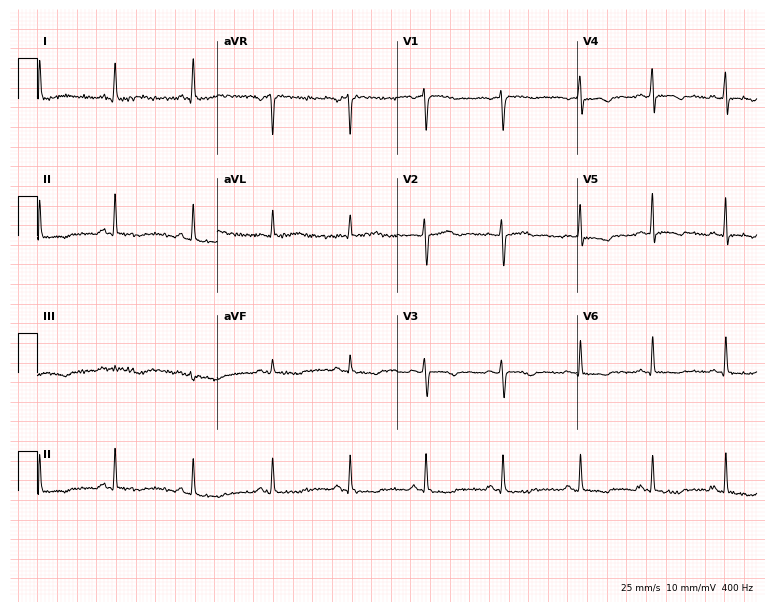
ECG (7.3-second recording at 400 Hz) — a 49-year-old female patient. Screened for six findings — first-degree AV block, right bundle branch block (RBBB), left bundle branch block (LBBB), sinus bradycardia, atrial fibrillation (AF), sinus tachycardia — none is recorded.